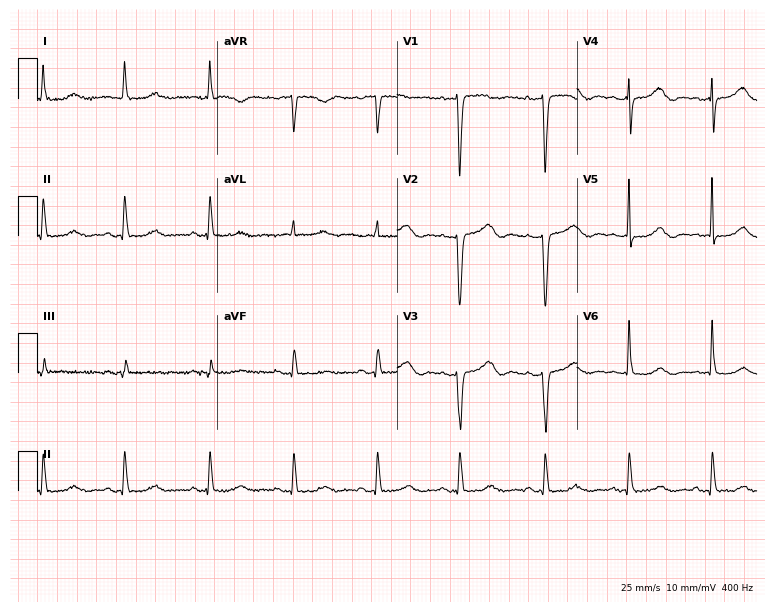
12-lead ECG from an 83-year-old female patient. Recorded interpretation: within normal limits.